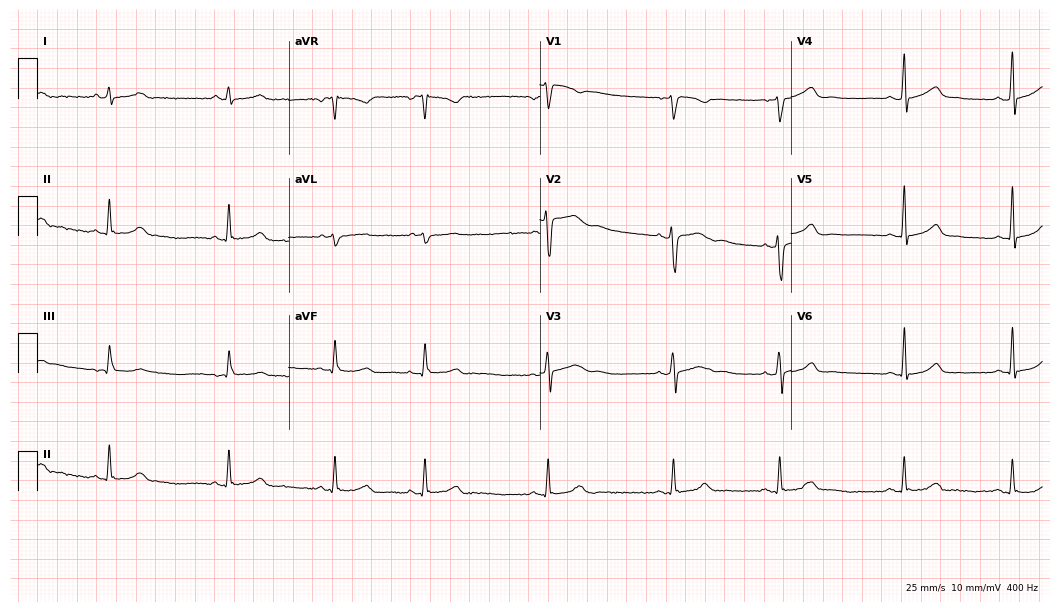
Standard 12-lead ECG recorded from a 23-year-old female patient. None of these six findings is recorded: first-degree AV block, right bundle branch block, left bundle branch block, sinus bradycardia, atrial fibrillation, sinus tachycardia. Findings outside these six are not listed.